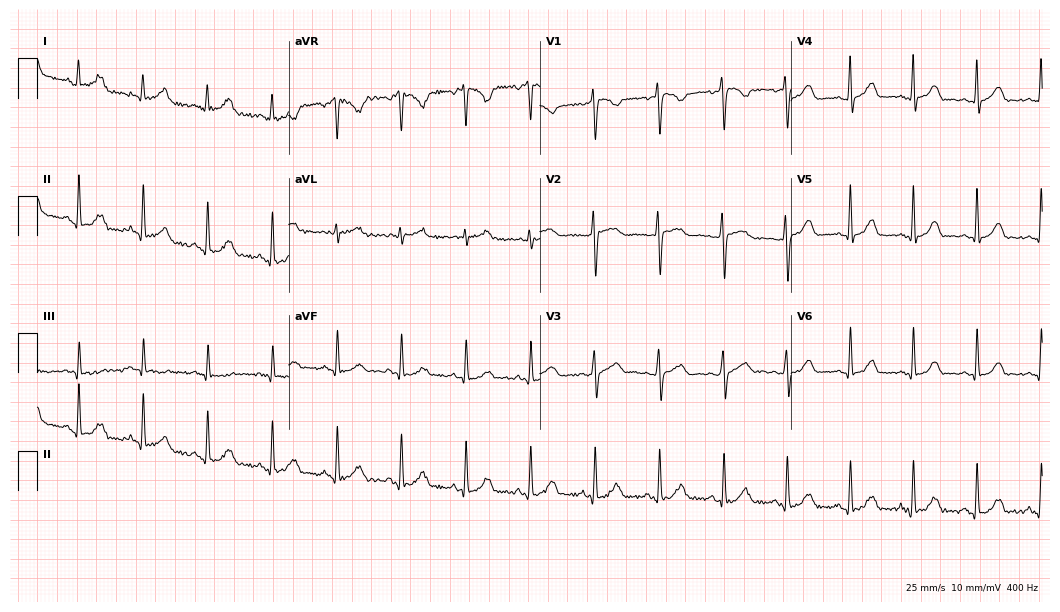
Resting 12-lead electrocardiogram (10.2-second recording at 400 Hz). Patient: a 42-year-old female. Read as a normal ECG.